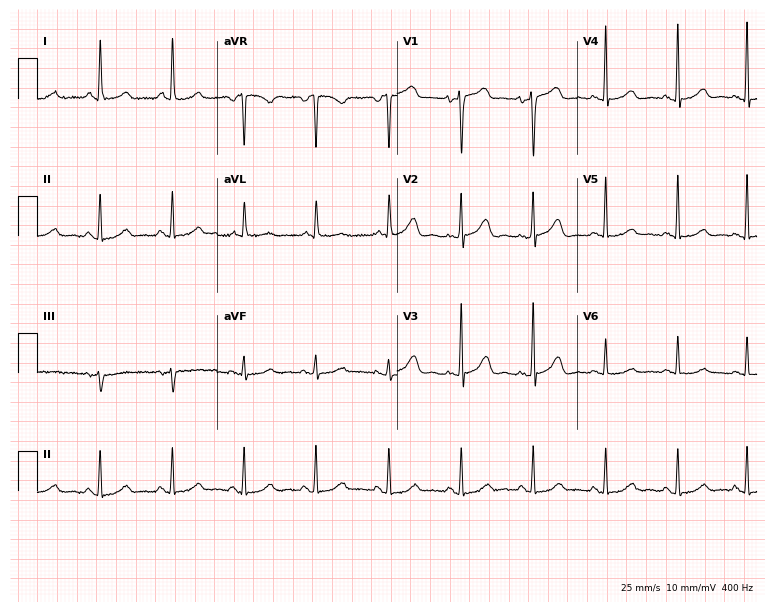
Electrocardiogram, a female patient, 49 years old. Overall reading on record: normal ECG.